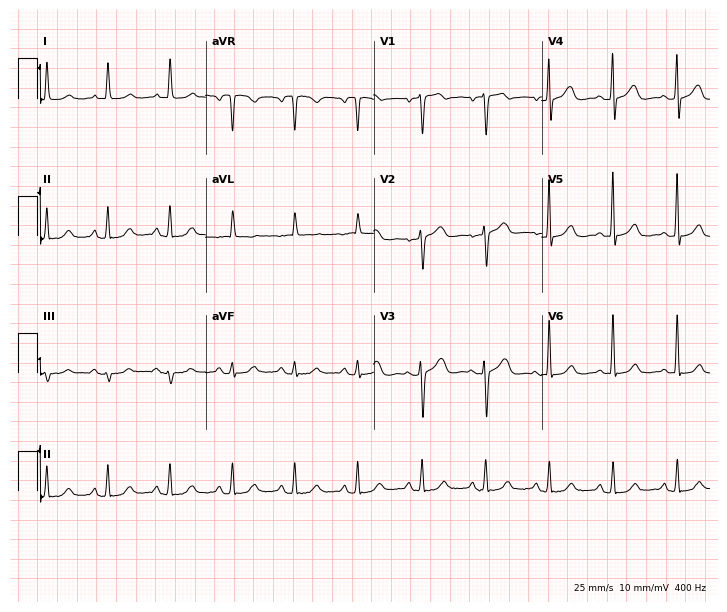
Standard 12-lead ECG recorded from a female patient, 73 years old (6.9-second recording at 400 Hz). None of these six findings is recorded: first-degree AV block, right bundle branch block, left bundle branch block, sinus bradycardia, atrial fibrillation, sinus tachycardia.